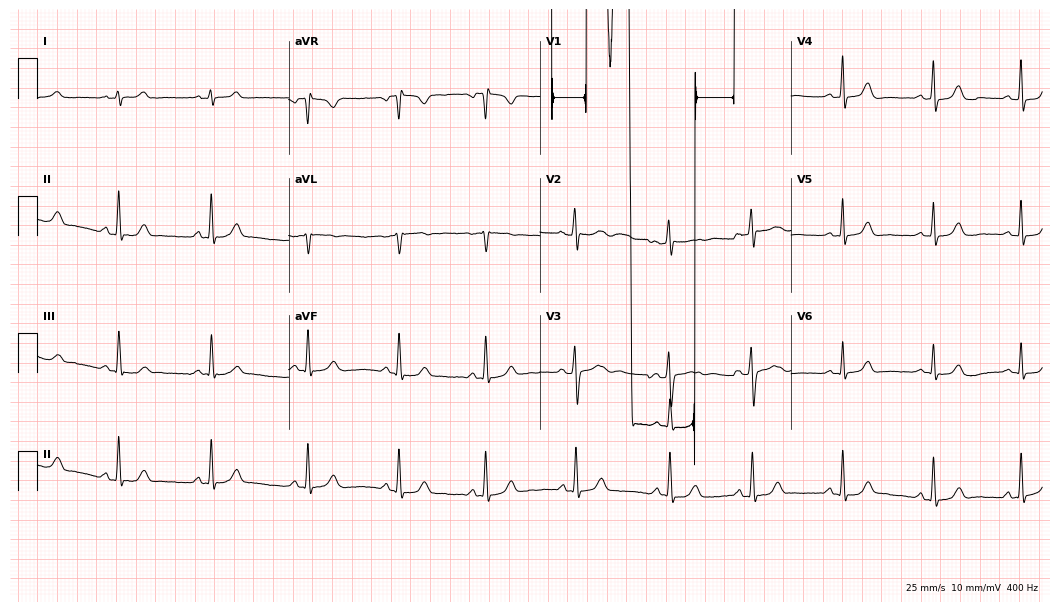
ECG (10.2-second recording at 400 Hz) — a female patient, 21 years old. Screened for six findings — first-degree AV block, right bundle branch block (RBBB), left bundle branch block (LBBB), sinus bradycardia, atrial fibrillation (AF), sinus tachycardia — none is recorded.